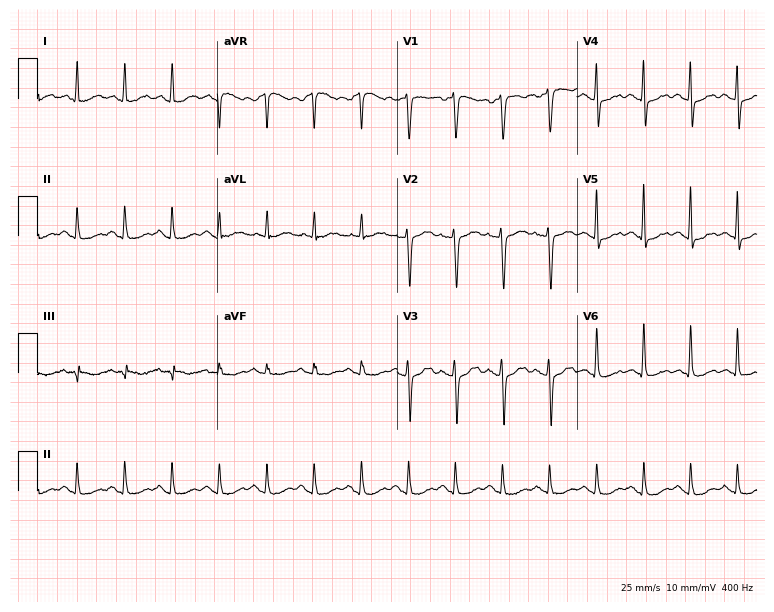
Electrocardiogram (7.3-second recording at 400 Hz), a 58-year-old female patient. Of the six screened findings (first-degree AV block, right bundle branch block, left bundle branch block, sinus bradycardia, atrial fibrillation, sinus tachycardia), none is recorded.